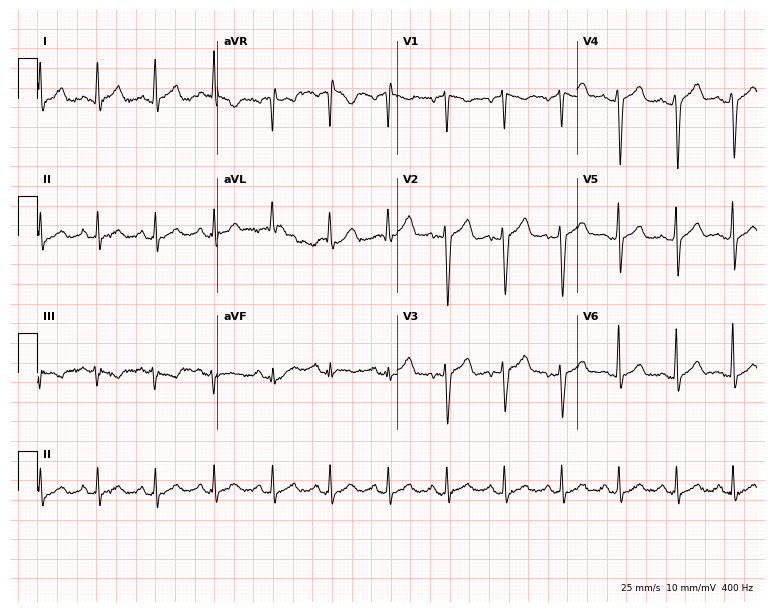
Standard 12-lead ECG recorded from a 34-year-old male (7.3-second recording at 400 Hz). Read as a normal ECG.